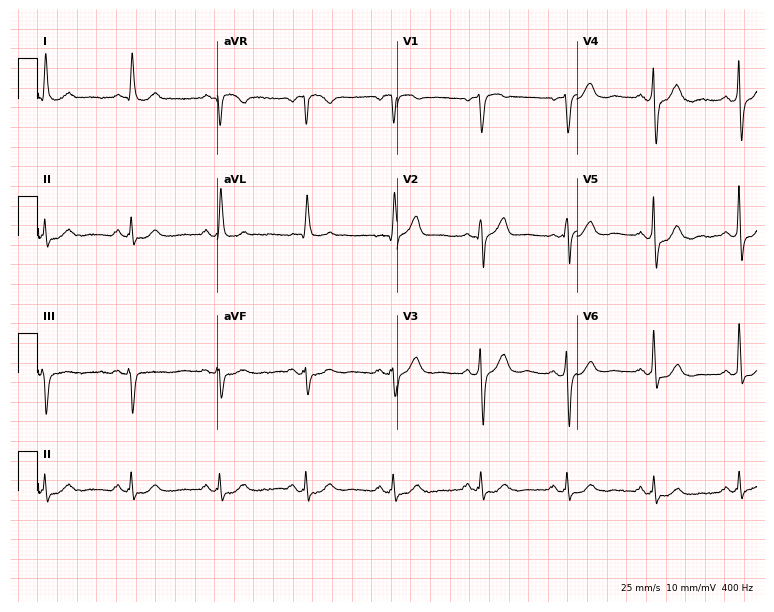
12-lead ECG from a 61-year-old female (7.3-second recording at 400 Hz). No first-degree AV block, right bundle branch block, left bundle branch block, sinus bradycardia, atrial fibrillation or sinus tachycardia recorded for this tracing.